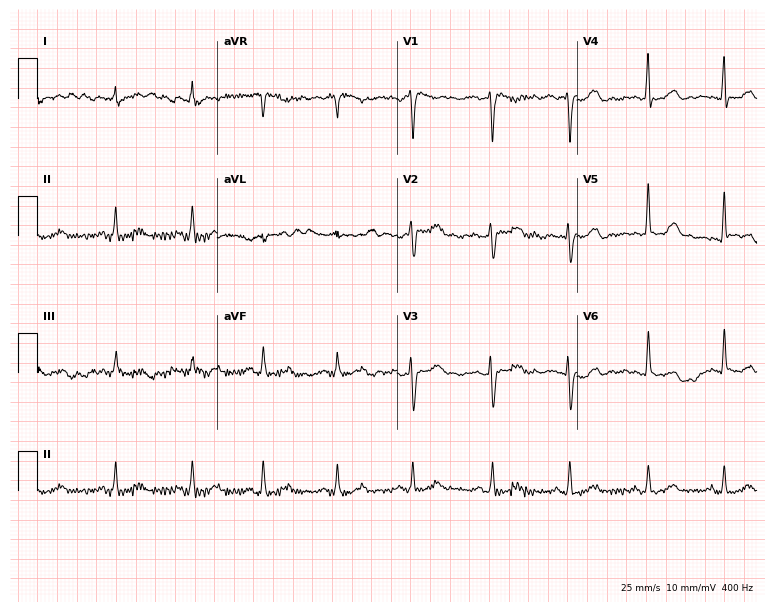
12-lead ECG from a female, 55 years old. No first-degree AV block, right bundle branch block (RBBB), left bundle branch block (LBBB), sinus bradycardia, atrial fibrillation (AF) or sinus tachycardia recorded for this tracing.